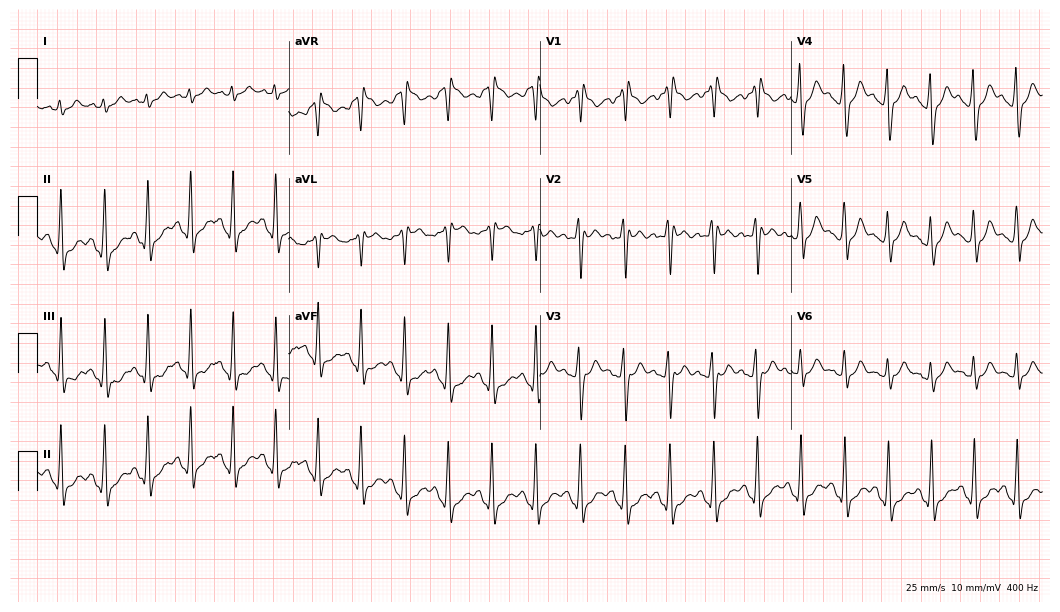
Resting 12-lead electrocardiogram (10.2-second recording at 400 Hz). Patient: a 21-year-old man. None of these six findings is recorded: first-degree AV block, right bundle branch block, left bundle branch block, sinus bradycardia, atrial fibrillation, sinus tachycardia. Findings outside these six are not listed.